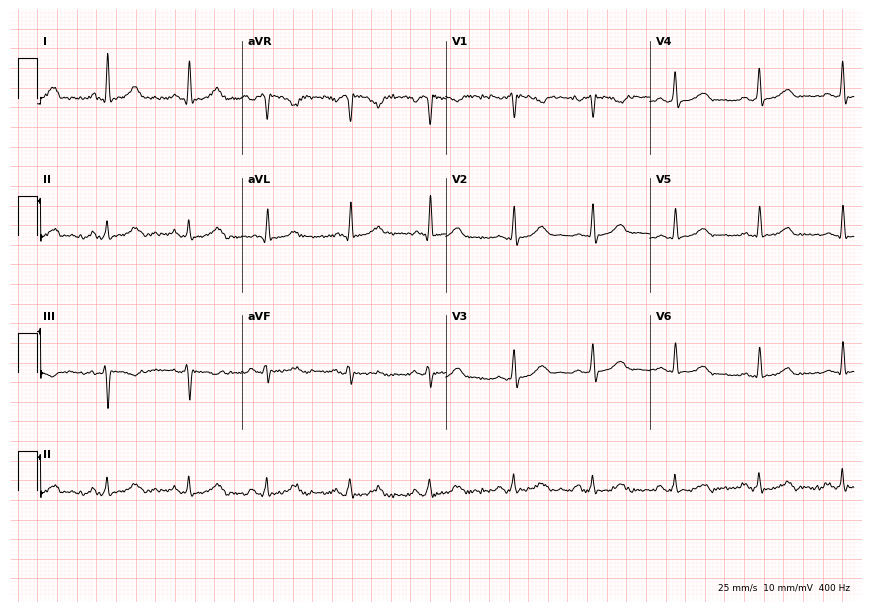
Resting 12-lead electrocardiogram. Patient: a 59-year-old woman. Read as a normal ECG.